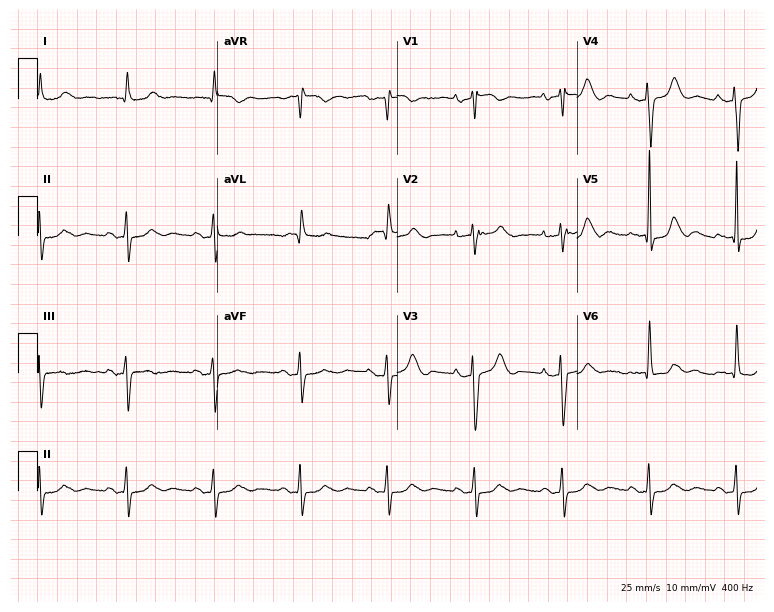
Resting 12-lead electrocardiogram (7.3-second recording at 400 Hz). Patient: a 77-year-old female. Read as a normal ECG.